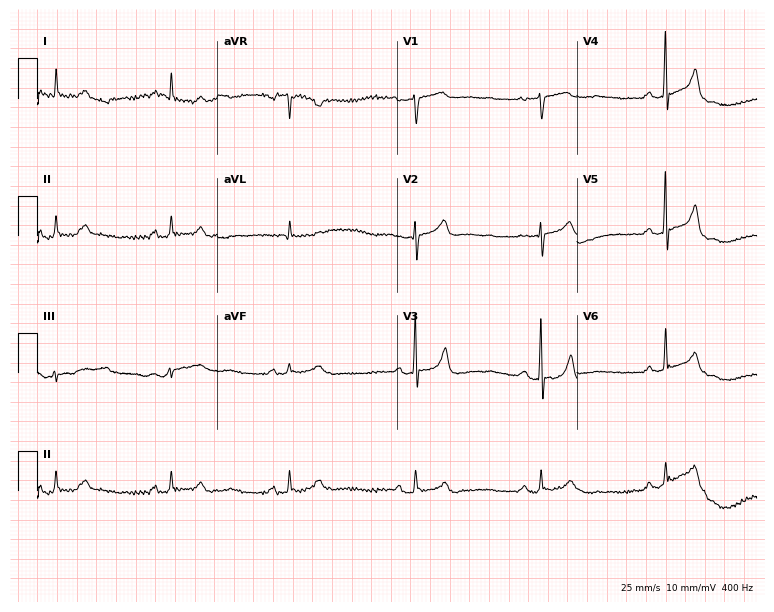
Electrocardiogram, a woman, 62 years old. Interpretation includes sinus bradycardia (a sinus rate of 50 beats per minute or less).